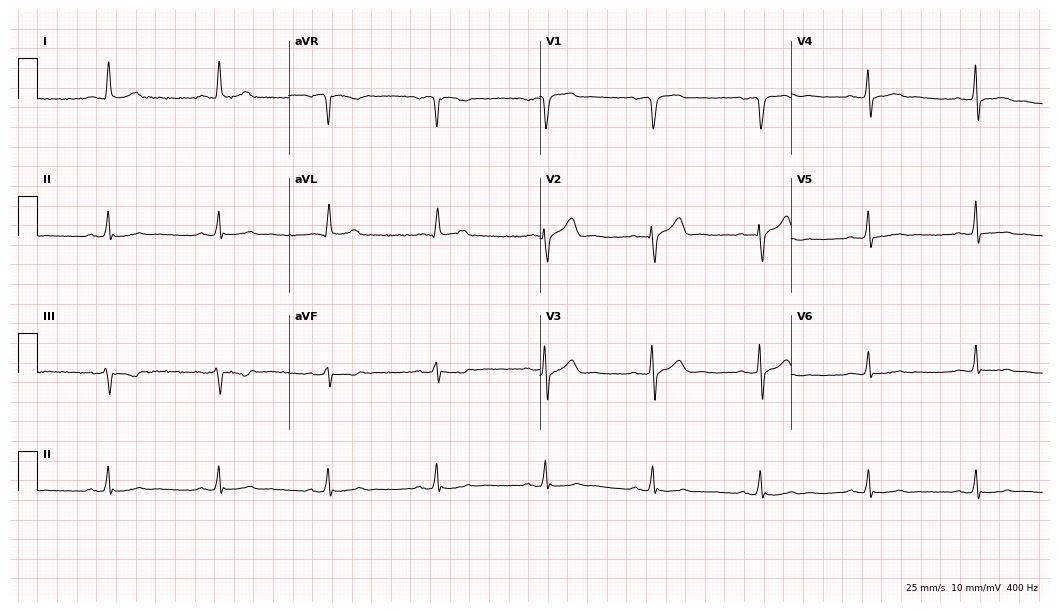
Electrocardiogram (10.2-second recording at 400 Hz), a 54-year-old female. Of the six screened findings (first-degree AV block, right bundle branch block (RBBB), left bundle branch block (LBBB), sinus bradycardia, atrial fibrillation (AF), sinus tachycardia), none is recorded. Only these six findings were labelled.